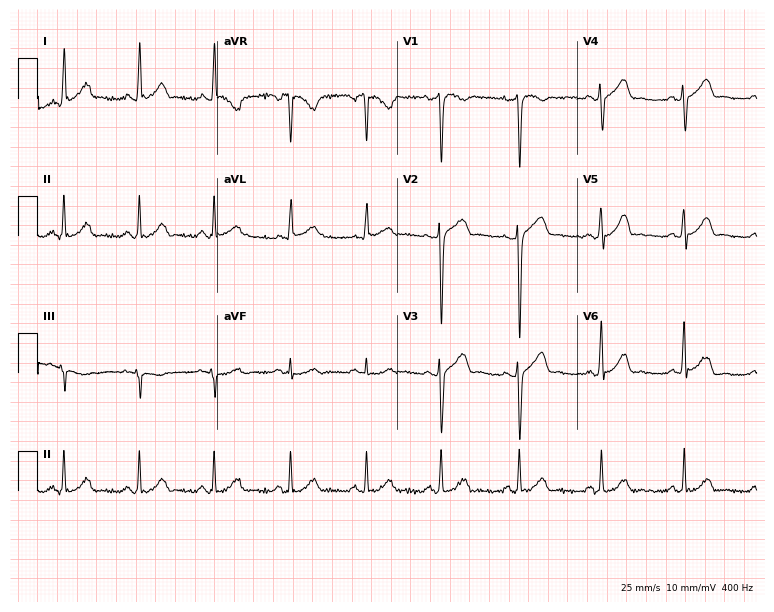
Standard 12-lead ECG recorded from a 33-year-old woman (7.3-second recording at 400 Hz). Read as a normal ECG.